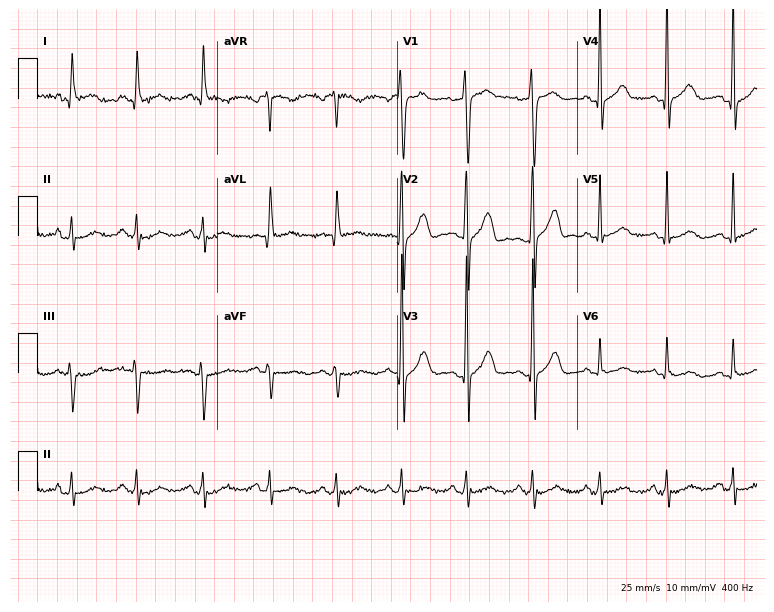
12-lead ECG from a man, 52 years old. Recorded interpretation: within normal limits.